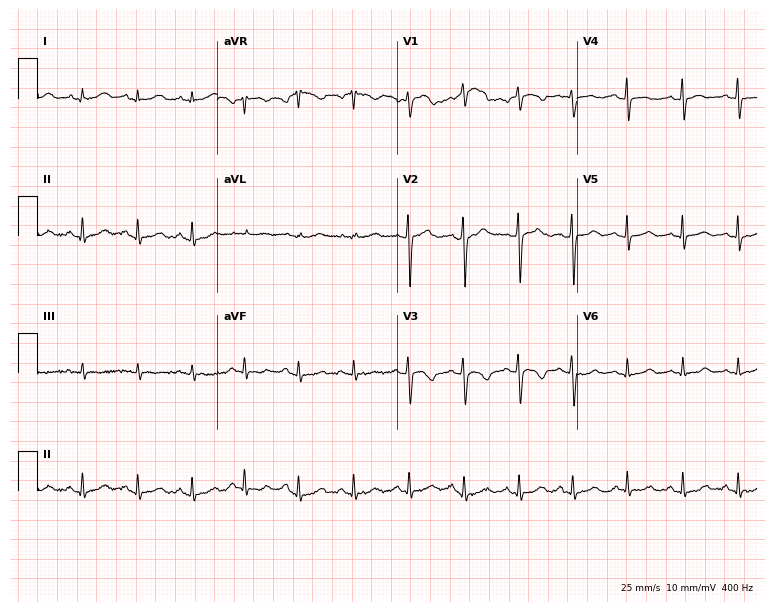
Resting 12-lead electrocardiogram. Patient: a 25-year-old female. None of these six findings is recorded: first-degree AV block, right bundle branch block, left bundle branch block, sinus bradycardia, atrial fibrillation, sinus tachycardia.